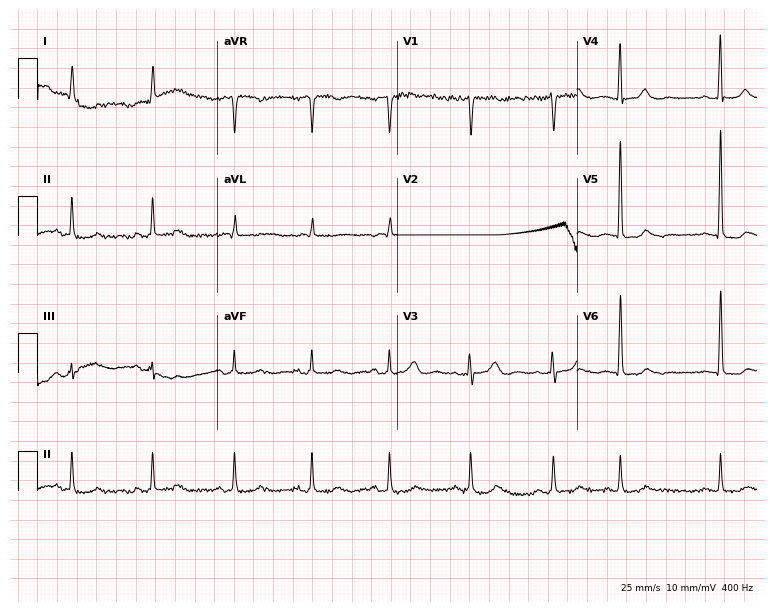
Standard 12-lead ECG recorded from an 83-year-old woman (7.3-second recording at 400 Hz). None of these six findings is recorded: first-degree AV block, right bundle branch block, left bundle branch block, sinus bradycardia, atrial fibrillation, sinus tachycardia. Only these six findings were labelled.